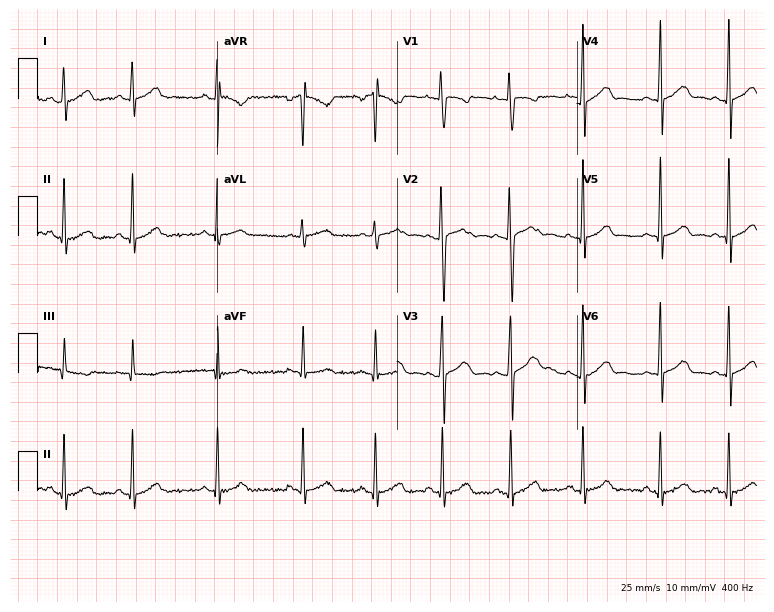
12-lead ECG from an 18-year-old woman. Screened for six findings — first-degree AV block, right bundle branch block, left bundle branch block, sinus bradycardia, atrial fibrillation, sinus tachycardia — none is recorded. Findings outside these six are not listed.